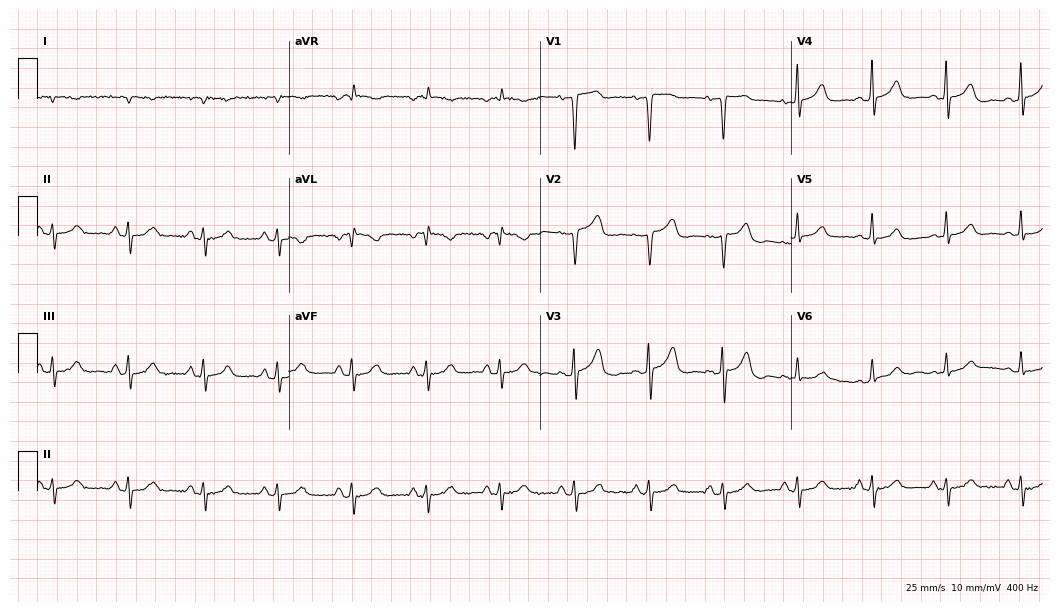
Resting 12-lead electrocardiogram (10.2-second recording at 400 Hz). Patient: an 80-year-old male. Read as a normal ECG.